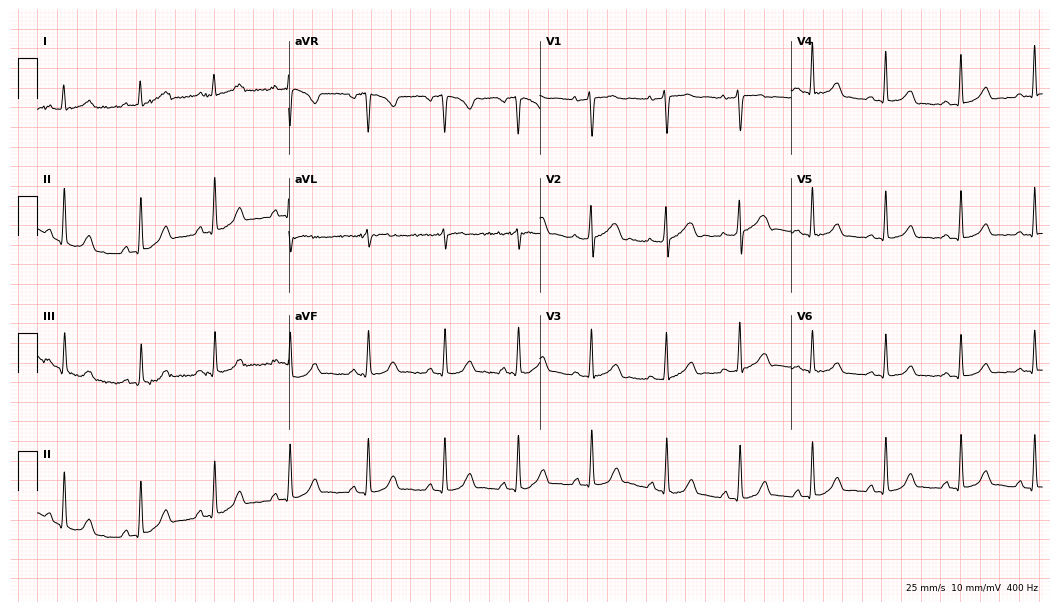
Electrocardiogram (10.2-second recording at 400 Hz), a 24-year-old female patient. Of the six screened findings (first-degree AV block, right bundle branch block, left bundle branch block, sinus bradycardia, atrial fibrillation, sinus tachycardia), none is recorded. Only these six findings were labelled.